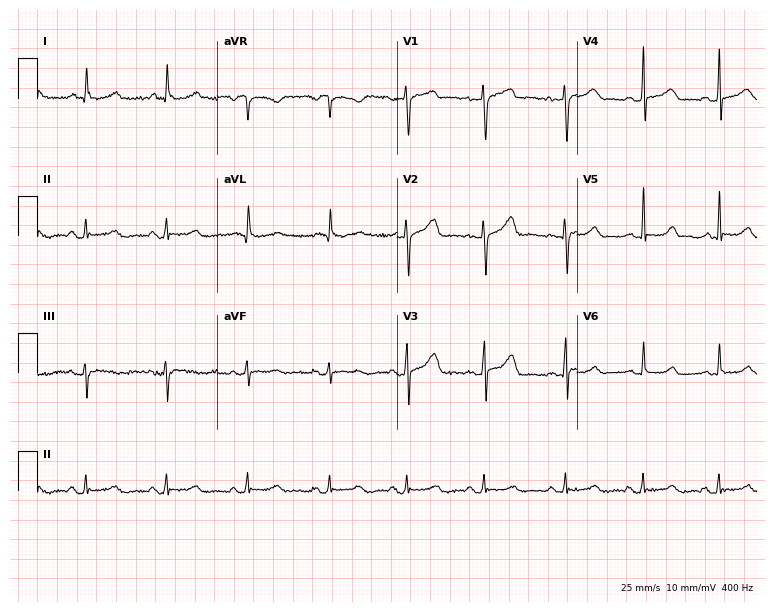
12-lead ECG from a 50-year-old female patient (7.3-second recording at 400 Hz). Recorded interpretation: within normal limits.